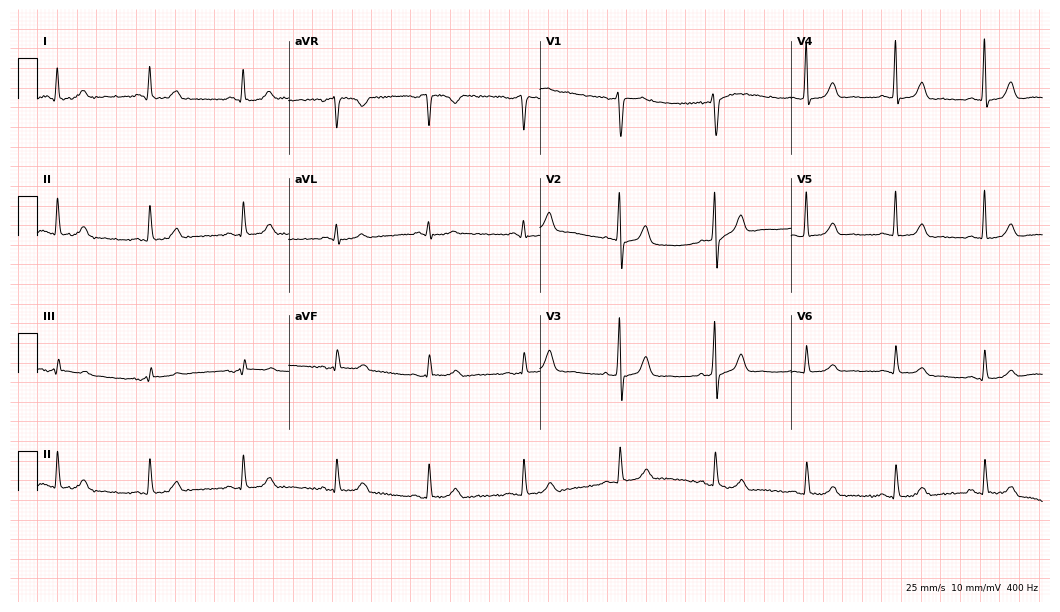
12-lead ECG from a 58-year-old female (10.2-second recording at 400 Hz). Recorded interpretation: within normal limits.